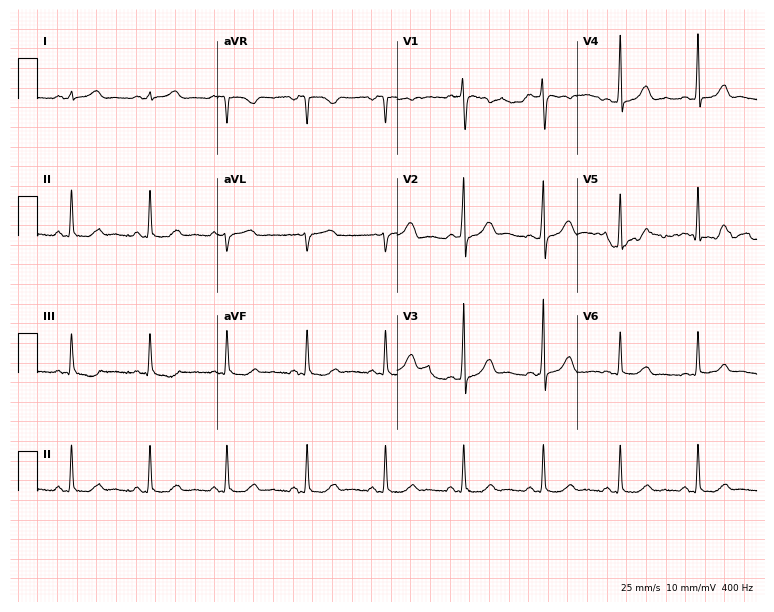
Resting 12-lead electrocardiogram. Patient: a 30-year-old female. None of these six findings is recorded: first-degree AV block, right bundle branch block, left bundle branch block, sinus bradycardia, atrial fibrillation, sinus tachycardia. Only these six findings were labelled.